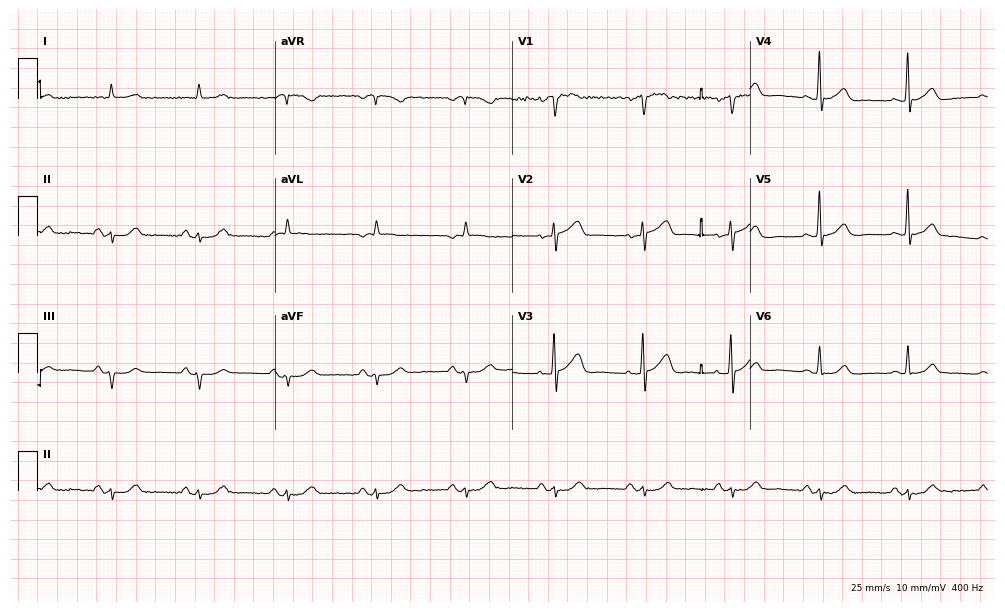
ECG (9.7-second recording at 400 Hz) — a male patient, 84 years old. Screened for six findings — first-degree AV block, right bundle branch block, left bundle branch block, sinus bradycardia, atrial fibrillation, sinus tachycardia — none is recorded.